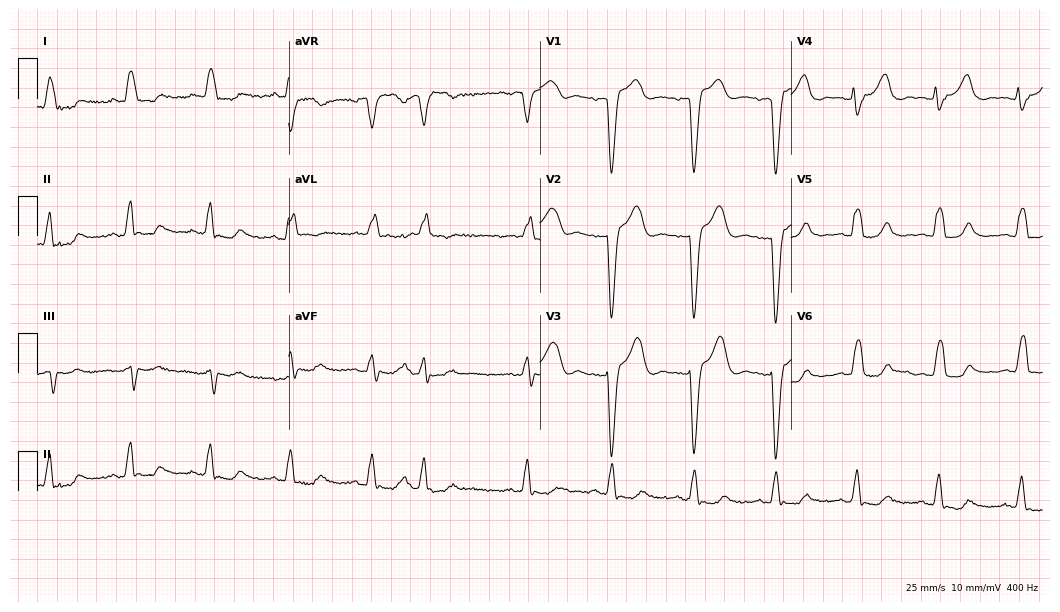
ECG — a 78-year-old woman. Findings include left bundle branch block.